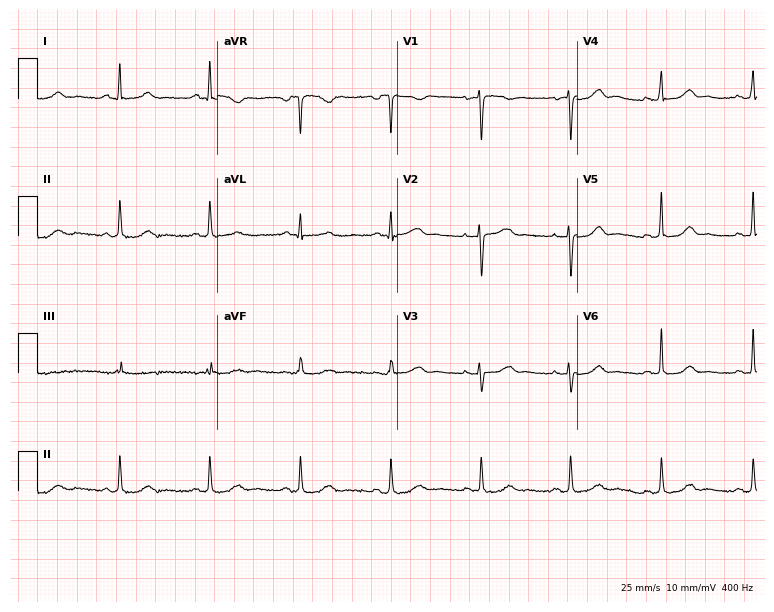
12-lead ECG (7.3-second recording at 400 Hz) from a female patient, 45 years old. Labelled as a normal ECG.